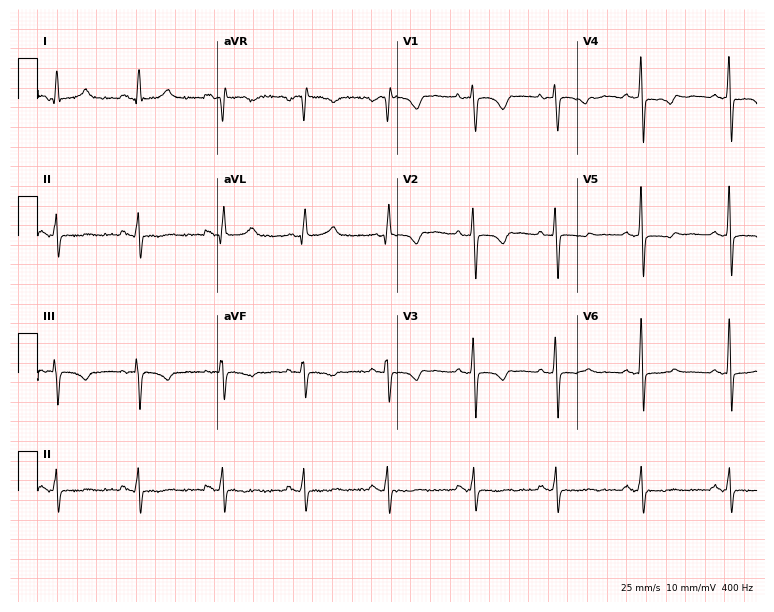
12-lead ECG from a 26-year-old female patient (7.3-second recording at 400 Hz). No first-degree AV block, right bundle branch block, left bundle branch block, sinus bradycardia, atrial fibrillation or sinus tachycardia recorded for this tracing.